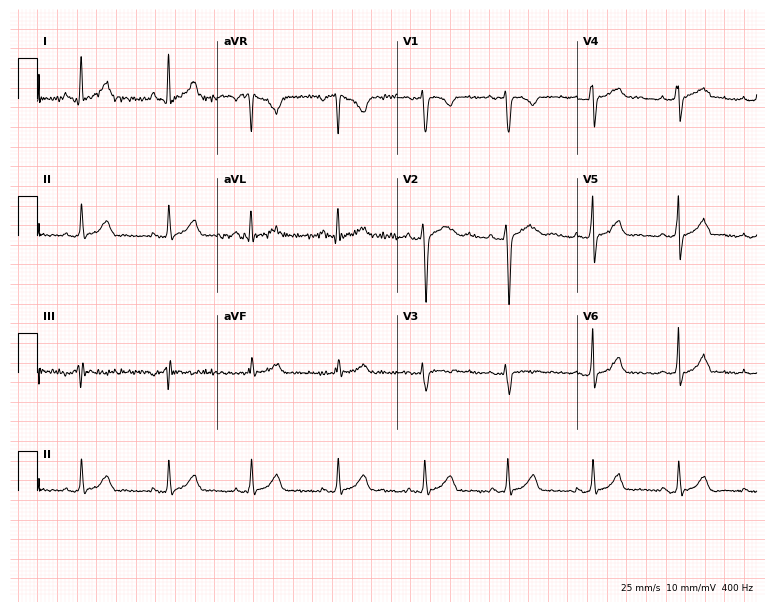
Resting 12-lead electrocardiogram (7.3-second recording at 400 Hz). Patient: a woman, 22 years old. Read as a normal ECG.